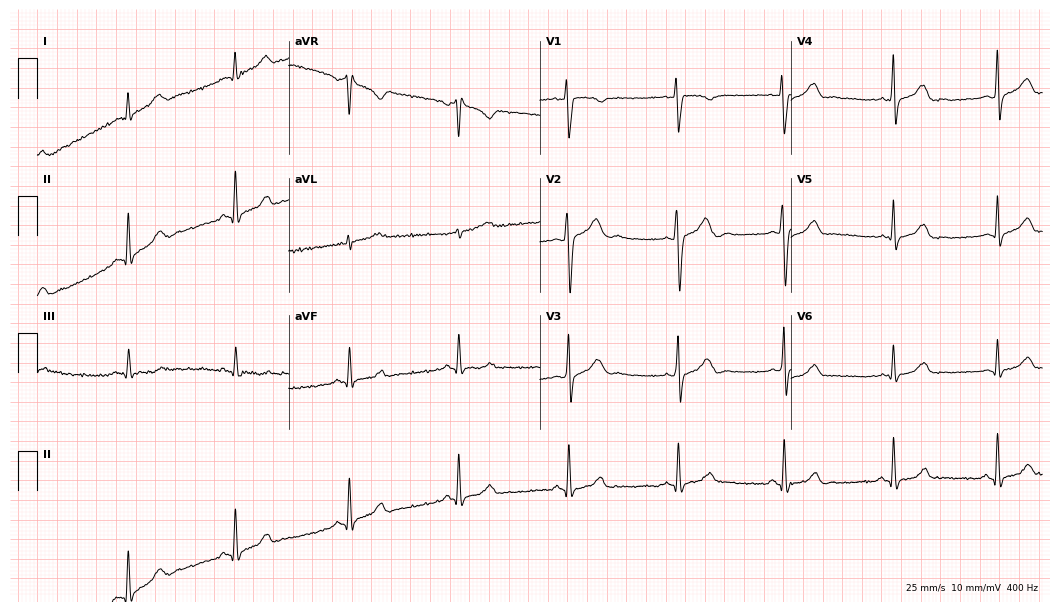
12-lead ECG from a 29-year-old male. Screened for six findings — first-degree AV block, right bundle branch block, left bundle branch block, sinus bradycardia, atrial fibrillation, sinus tachycardia — none is recorded. Findings outside these six are not listed.